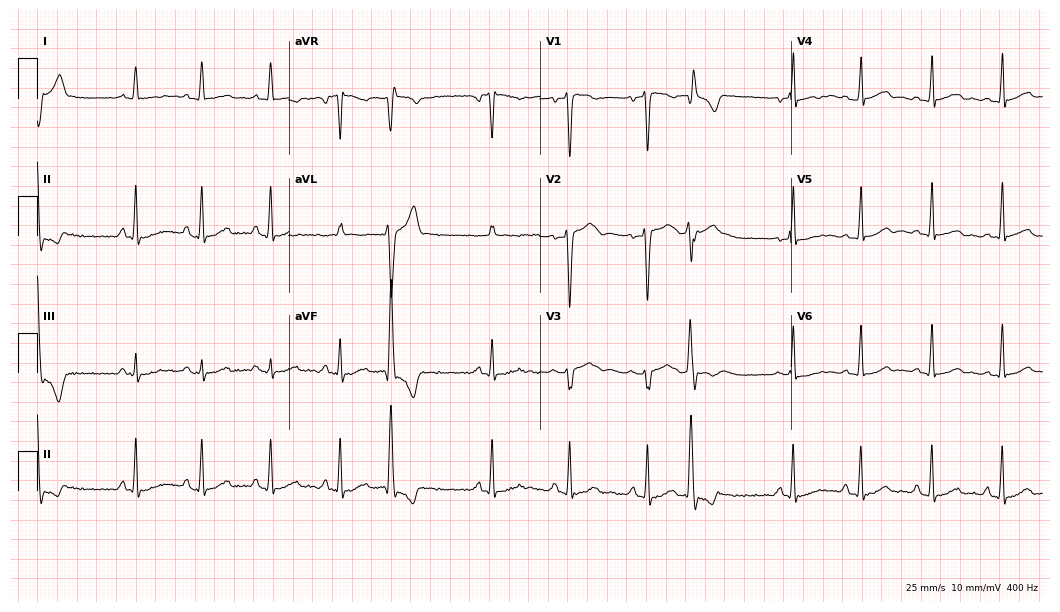
12-lead ECG from a female patient, 28 years old (10.2-second recording at 400 Hz). Recorded interpretation: within normal limits.